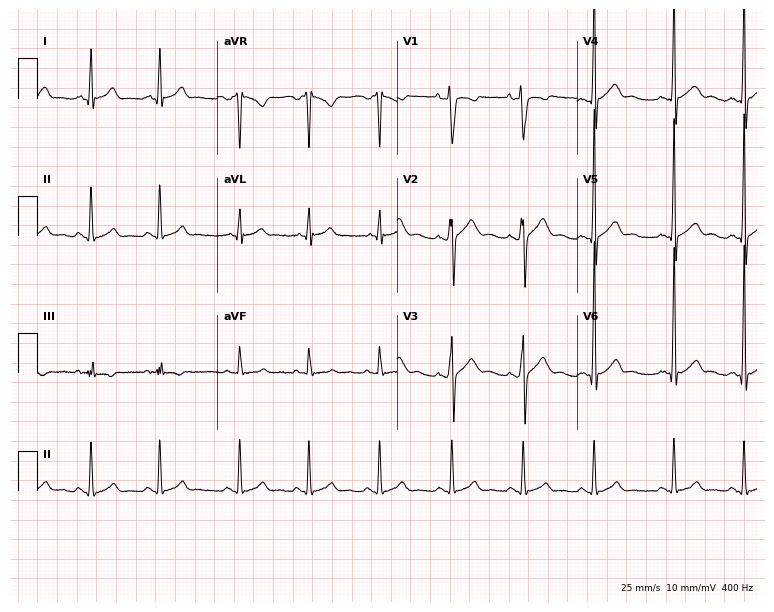
Electrocardiogram (7.3-second recording at 400 Hz), a 22-year-old male patient. Of the six screened findings (first-degree AV block, right bundle branch block (RBBB), left bundle branch block (LBBB), sinus bradycardia, atrial fibrillation (AF), sinus tachycardia), none is recorded. Findings outside these six are not listed.